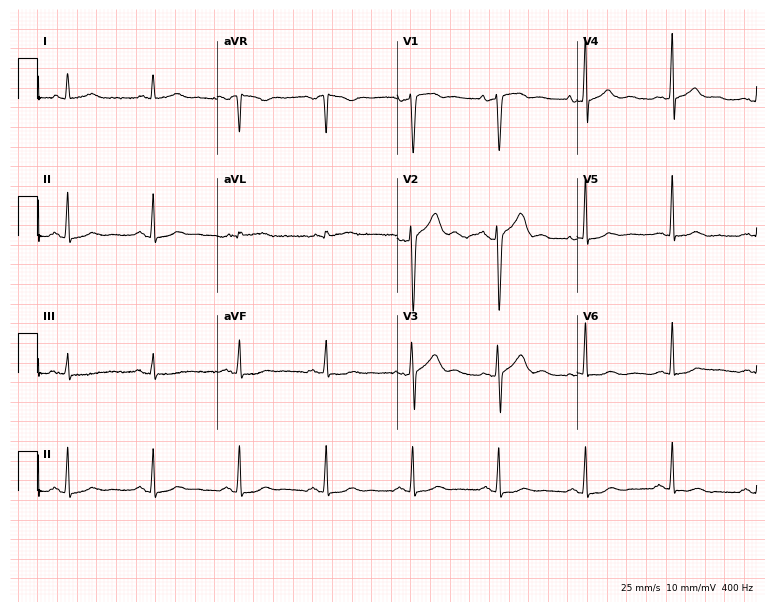
ECG (7.3-second recording at 400 Hz) — a 51-year-old male. Labelled as a normal ECG.